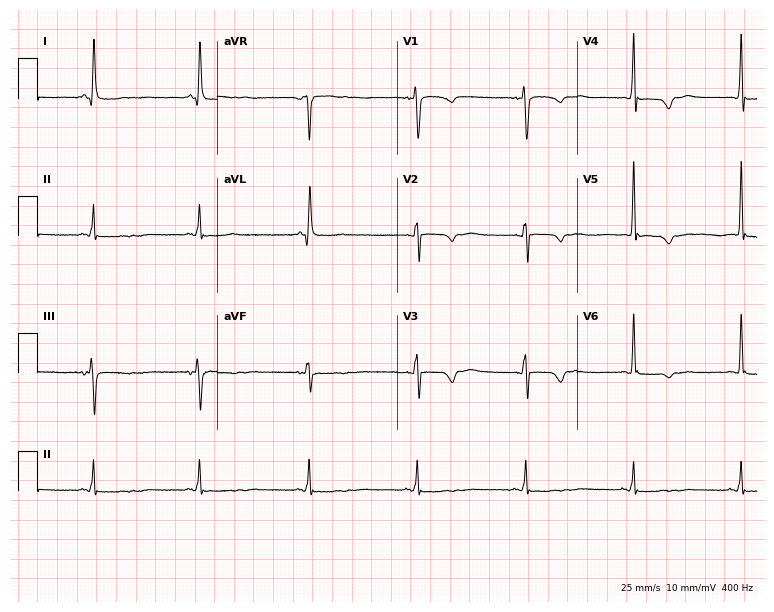
12-lead ECG from a 73-year-old female. No first-degree AV block, right bundle branch block, left bundle branch block, sinus bradycardia, atrial fibrillation or sinus tachycardia recorded for this tracing.